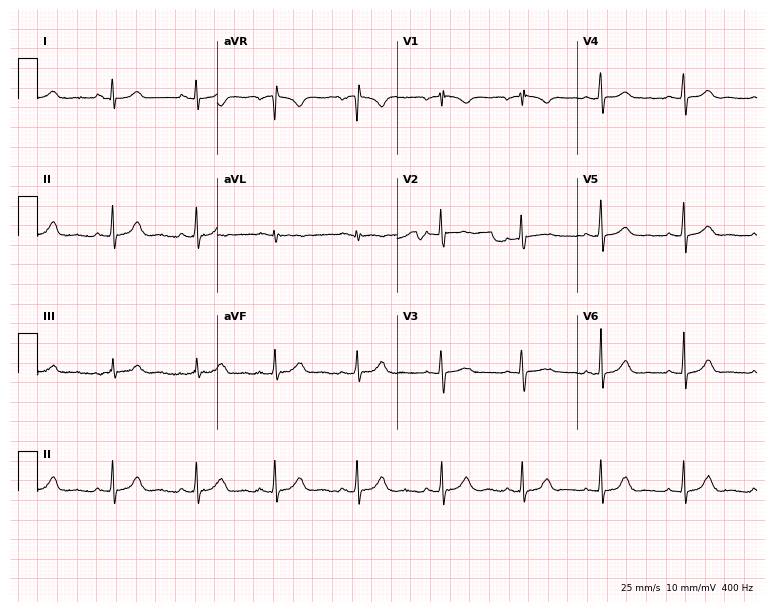
12-lead ECG from a 17-year-old female patient. No first-degree AV block, right bundle branch block, left bundle branch block, sinus bradycardia, atrial fibrillation or sinus tachycardia recorded for this tracing. Other findings, if any, are not listed.